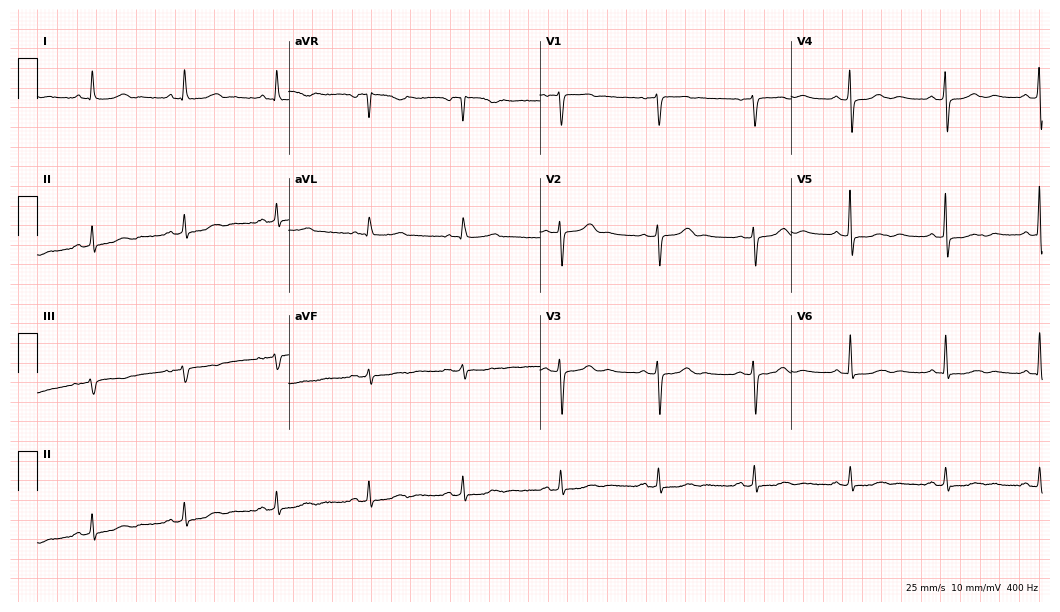
Resting 12-lead electrocardiogram (10.2-second recording at 400 Hz). Patient: a woman, 67 years old. Read as a normal ECG.